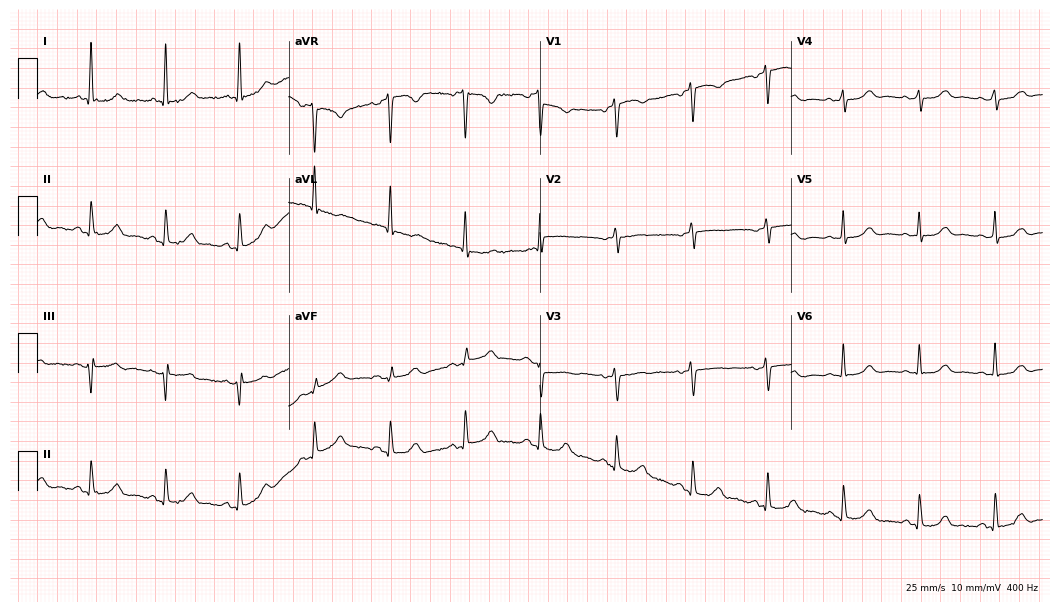
12-lead ECG from a 74-year-old woman. Screened for six findings — first-degree AV block, right bundle branch block, left bundle branch block, sinus bradycardia, atrial fibrillation, sinus tachycardia — none is recorded.